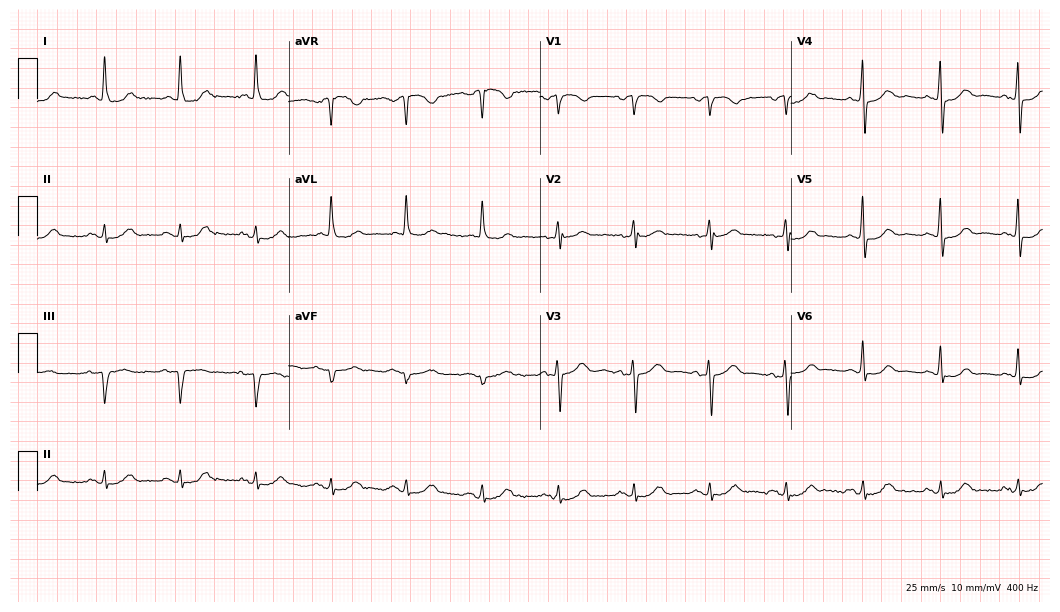
ECG — a woman, 80 years old. Labelled as a normal ECG.